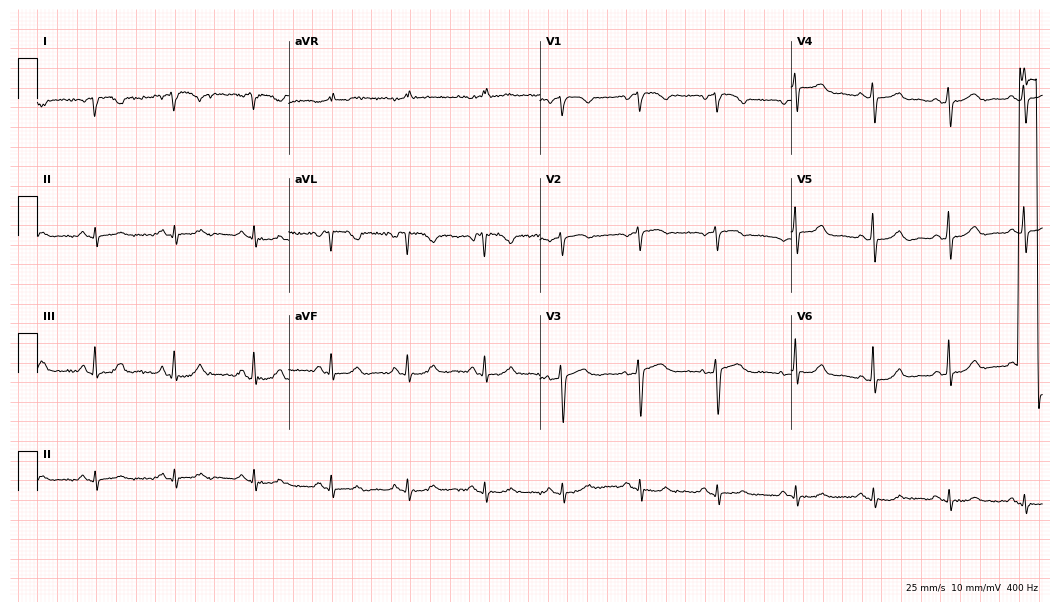
Resting 12-lead electrocardiogram (10.2-second recording at 400 Hz). Patient: a 73-year-old woman. None of these six findings is recorded: first-degree AV block, right bundle branch block, left bundle branch block, sinus bradycardia, atrial fibrillation, sinus tachycardia.